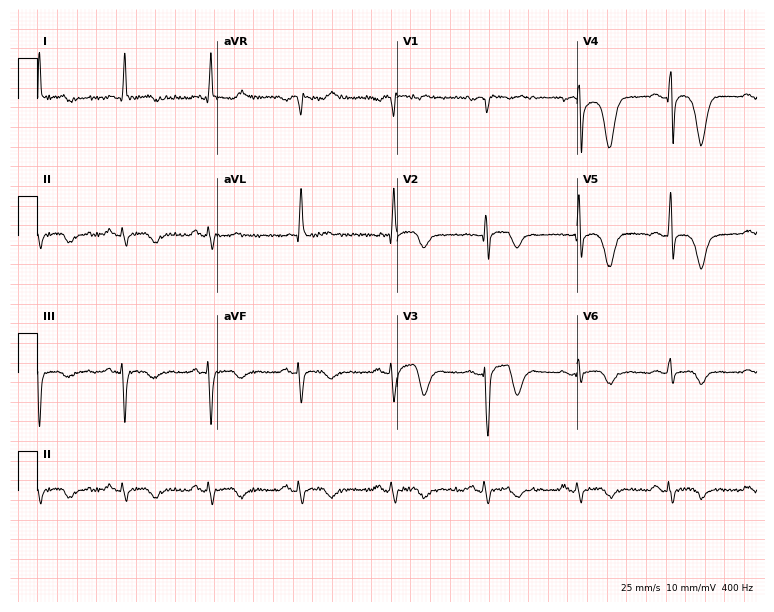
12-lead ECG from a male patient, 74 years old. No first-degree AV block, right bundle branch block, left bundle branch block, sinus bradycardia, atrial fibrillation or sinus tachycardia recorded for this tracing.